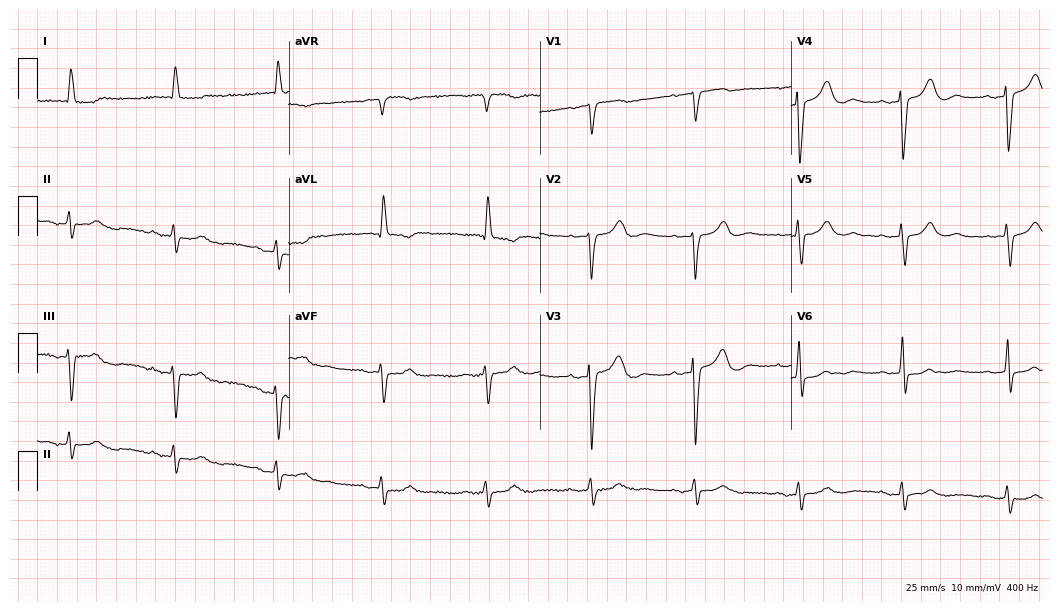
ECG (10.2-second recording at 400 Hz) — an 80-year-old woman. Screened for six findings — first-degree AV block, right bundle branch block (RBBB), left bundle branch block (LBBB), sinus bradycardia, atrial fibrillation (AF), sinus tachycardia — none is recorded.